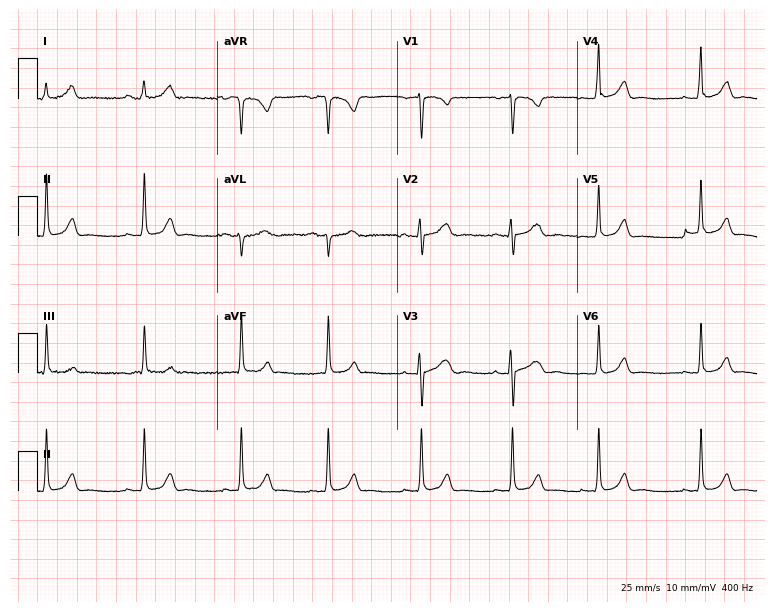
12-lead ECG (7.3-second recording at 400 Hz) from a 27-year-old woman. Screened for six findings — first-degree AV block, right bundle branch block, left bundle branch block, sinus bradycardia, atrial fibrillation, sinus tachycardia — none is recorded.